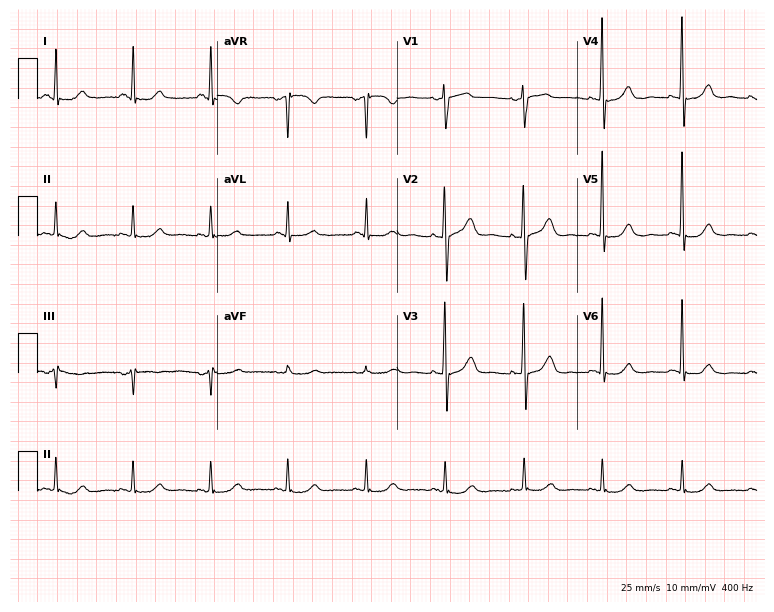
12-lead ECG from a female, 76 years old. Screened for six findings — first-degree AV block, right bundle branch block, left bundle branch block, sinus bradycardia, atrial fibrillation, sinus tachycardia — none is recorded.